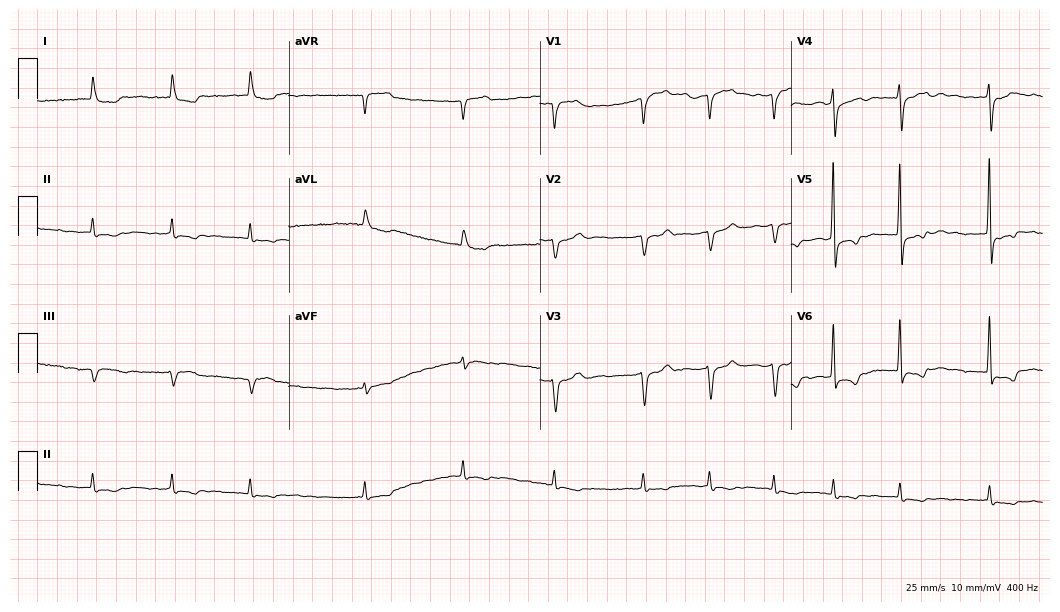
ECG (10.2-second recording at 400 Hz) — a 77-year-old male patient. Screened for six findings — first-degree AV block, right bundle branch block (RBBB), left bundle branch block (LBBB), sinus bradycardia, atrial fibrillation (AF), sinus tachycardia — none is recorded.